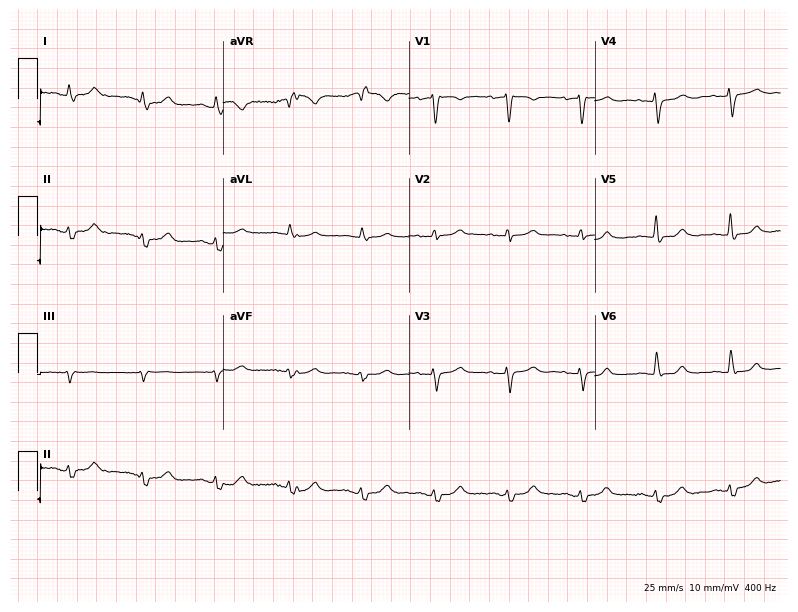
Standard 12-lead ECG recorded from a female patient, 78 years old (7.6-second recording at 400 Hz). Read as a normal ECG.